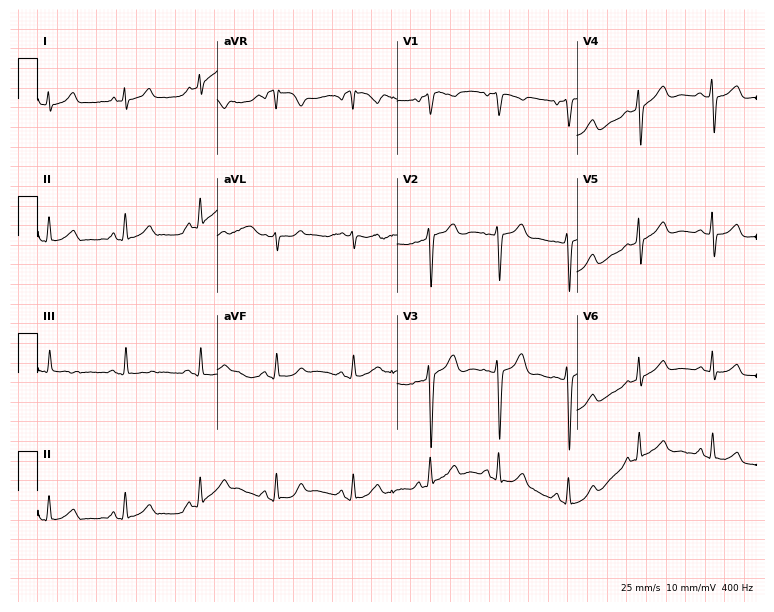
Standard 12-lead ECG recorded from a 34-year-old woman. None of these six findings is recorded: first-degree AV block, right bundle branch block, left bundle branch block, sinus bradycardia, atrial fibrillation, sinus tachycardia.